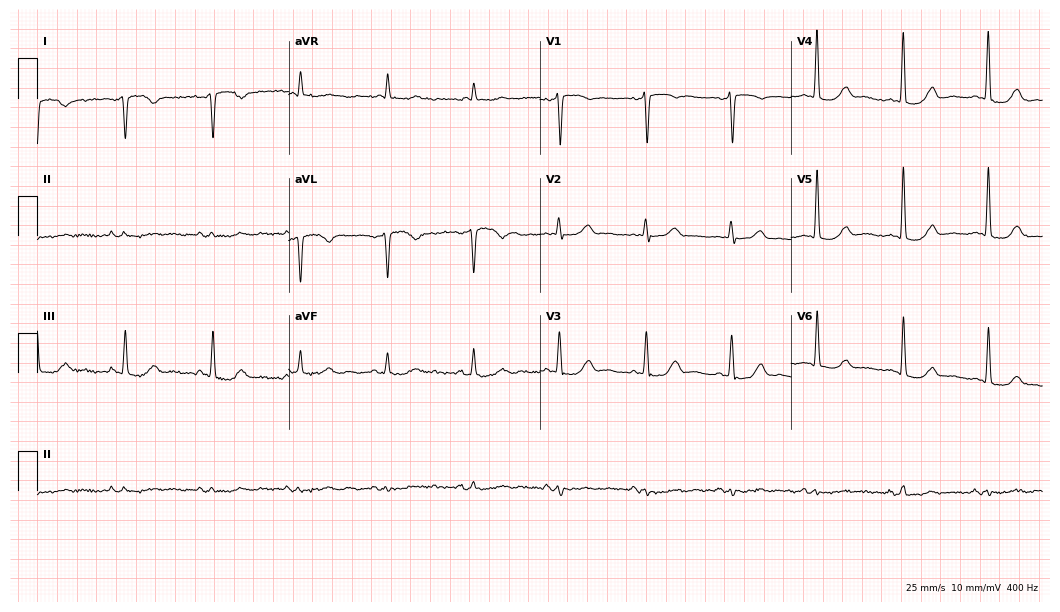
ECG — a female, 71 years old. Screened for six findings — first-degree AV block, right bundle branch block (RBBB), left bundle branch block (LBBB), sinus bradycardia, atrial fibrillation (AF), sinus tachycardia — none is recorded.